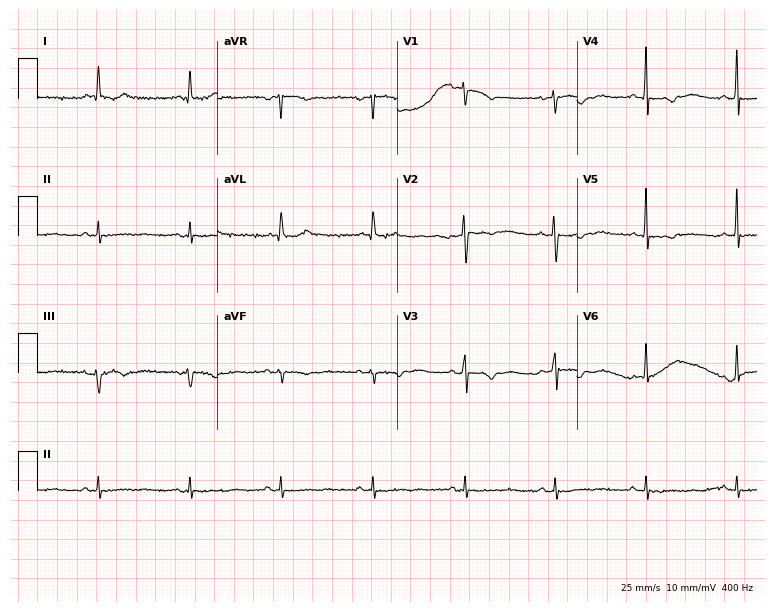
ECG — a female patient, 80 years old. Screened for six findings — first-degree AV block, right bundle branch block, left bundle branch block, sinus bradycardia, atrial fibrillation, sinus tachycardia — none is recorded.